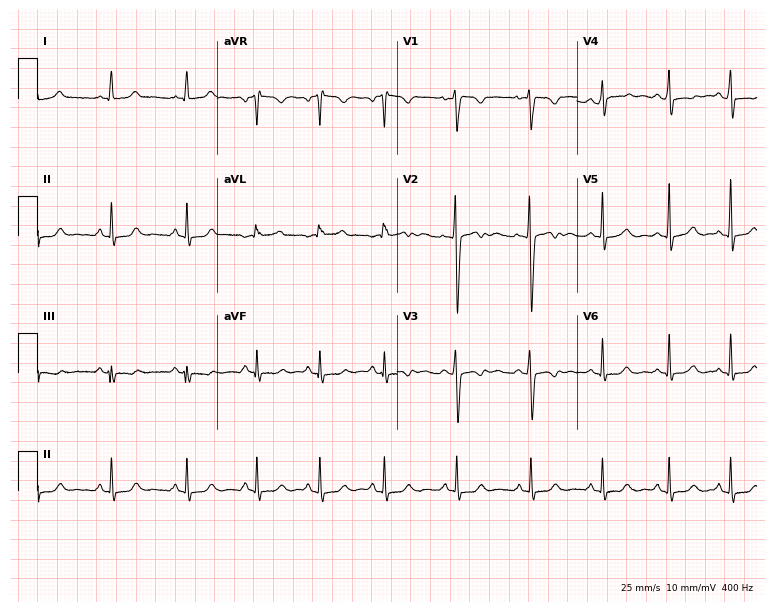
12-lead ECG from a 22-year-old woman (7.3-second recording at 400 Hz). Recorded interpretation: within normal limits.